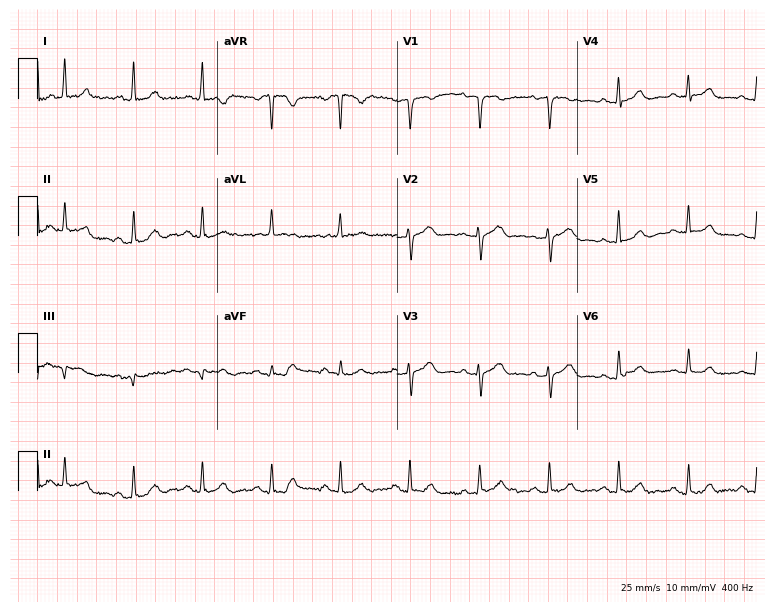
ECG — a woman, 67 years old. Labelled as a normal ECG.